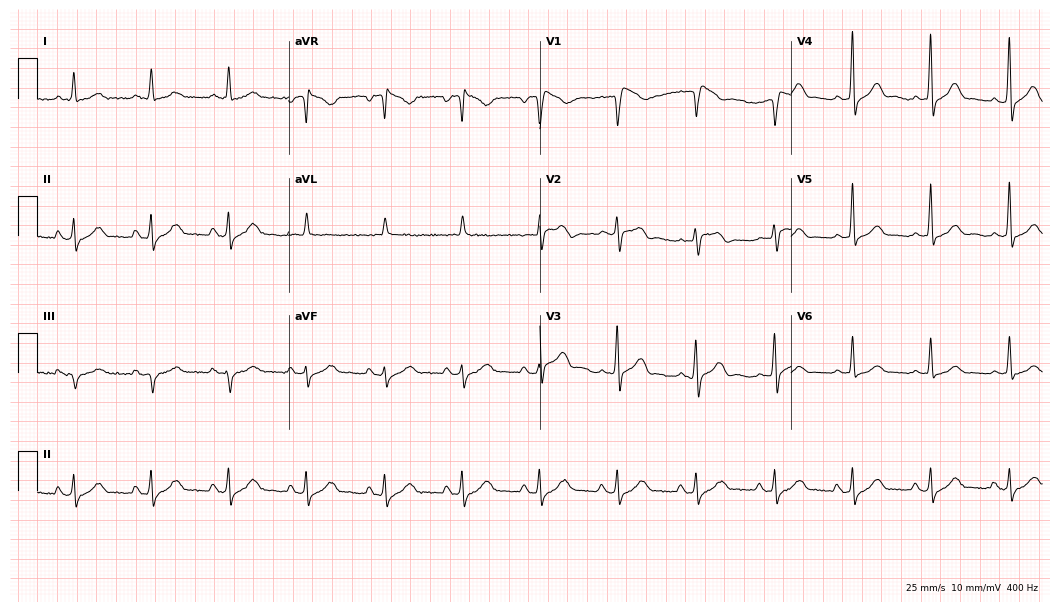
12-lead ECG from a male, 76 years old (10.2-second recording at 400 Hz). No first-degree AV block, right bundle branch block, left bundle branch block, sinus bradycardia, atrial fibrillation or sinus tachycardia recorded for this tracing.